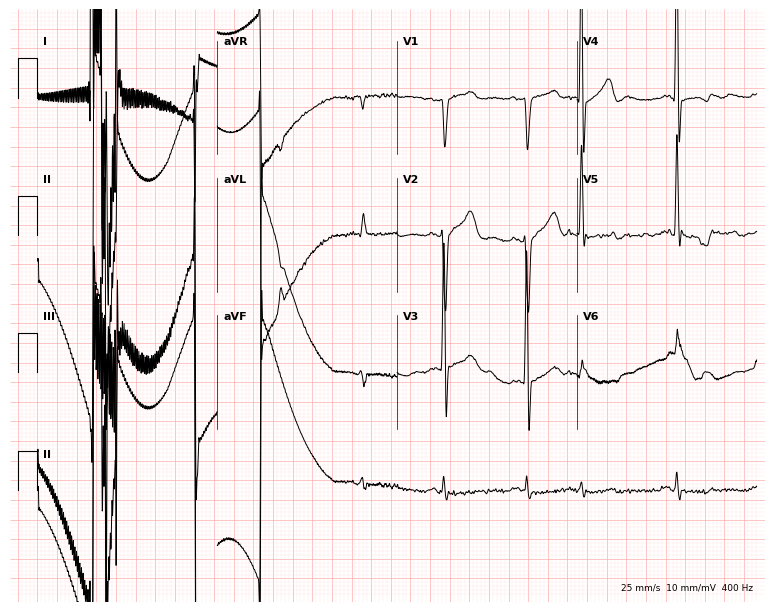
Resting 12-lead electrocardiogram (7.3-second recording at 400 Hz). Patient: a 76-year-old male. None of these six findings is recorded: first-degree AV block, right bundle branch block, left bundle branch block, sinus bradycardia, atrial fibrillation, sinus tachycardia. Findings outside these six are not listed.